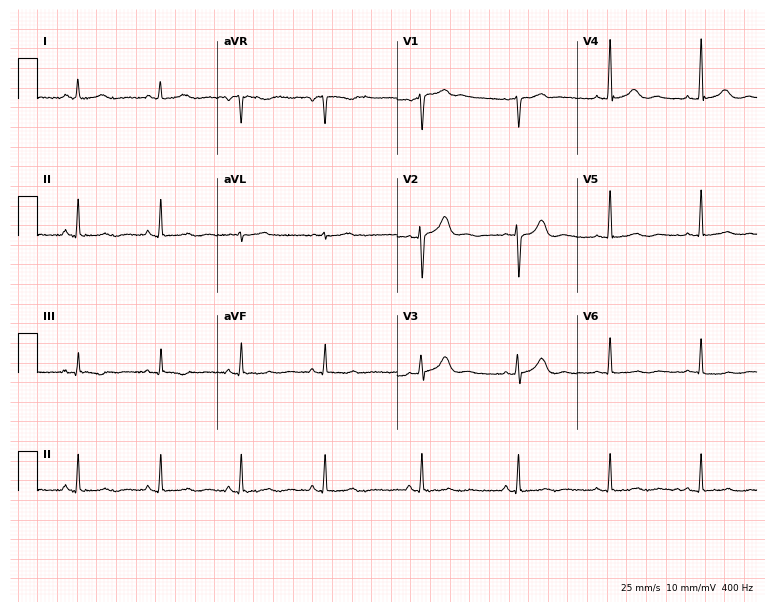
12-lead ECG from a woman, 52 years old. No first-degree AV block, right bundle branch block (RBBB), left bundle branch block (LBBB), sinus bradycardia, atrial fibrillation (AF) or sinus tachycardia recorded for this tracing. Only these six findings were labelled.